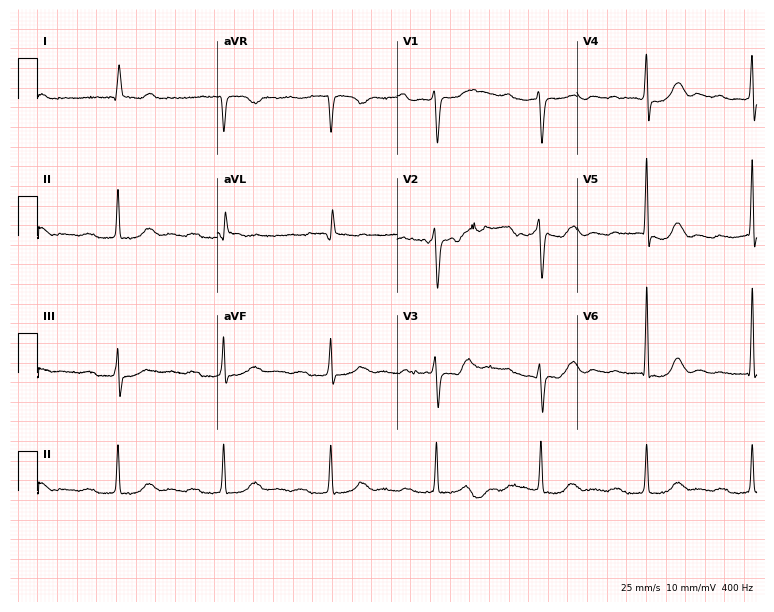
Standard 12-lead ECG recorded from a 74-year-old female patient (7.3-second recording at 400 Hz). The tracing shows first-degree AV block.